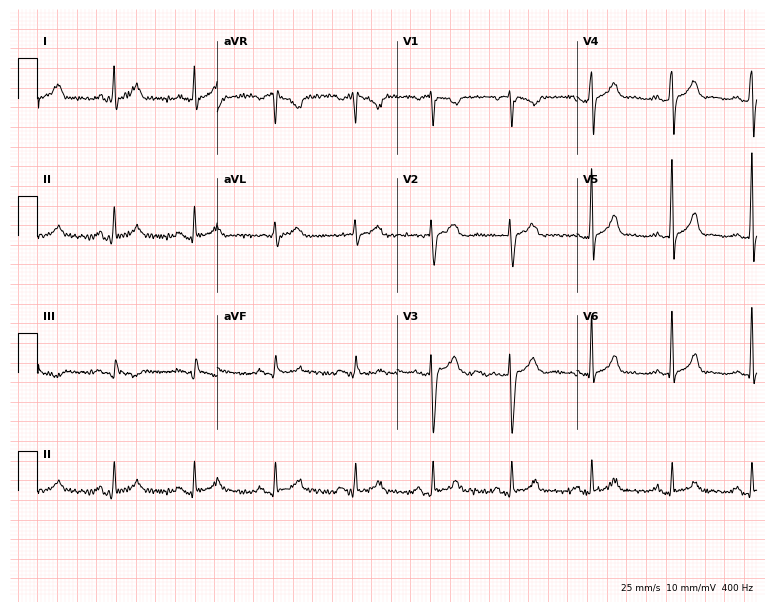
Resting 12-lead electrocardiogram. Patient: a 33-year-old man. Read as a normal ECG.